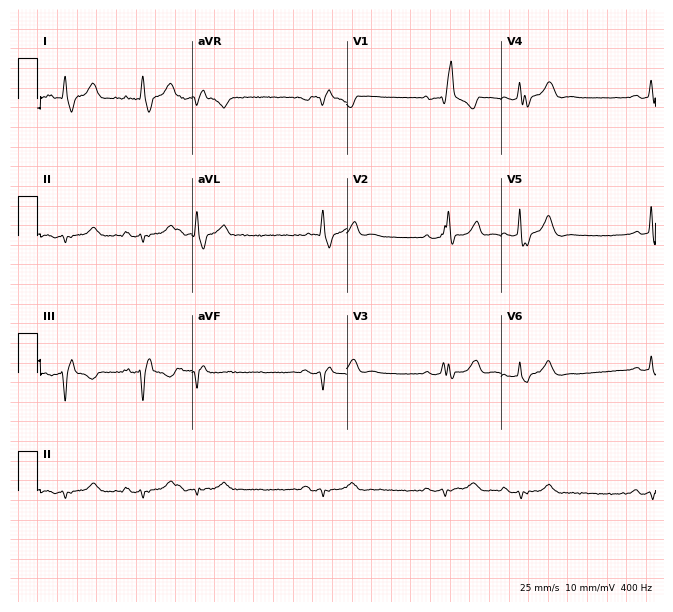
Resting 12-lead electrocardiogram (6.3-second recording at 400 Hz). Patient: a male, 78 years old. The tracing shows right bundle branch block.